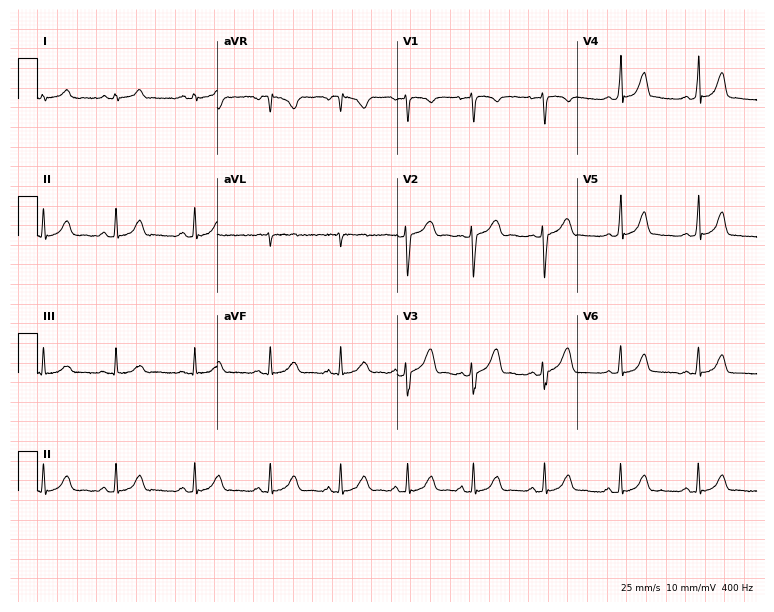
ECG — a female, 29 years old. Labelled as a normal ECG.